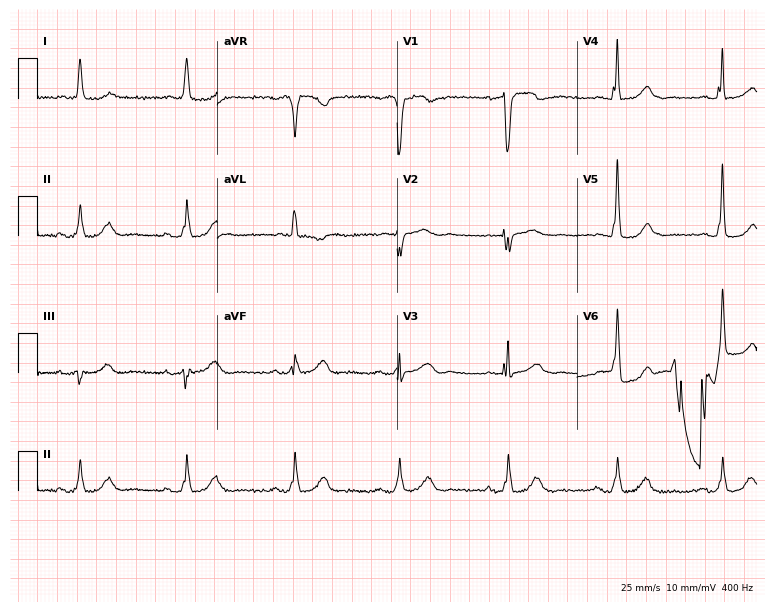
ECG — a female patient, 84 years old. Screened for six findings — first-degree AV block, right bundle branch block, left bundle branch block, sinus bradycardia, atrial fibrillation, sinus tachycardia — none is recorded.